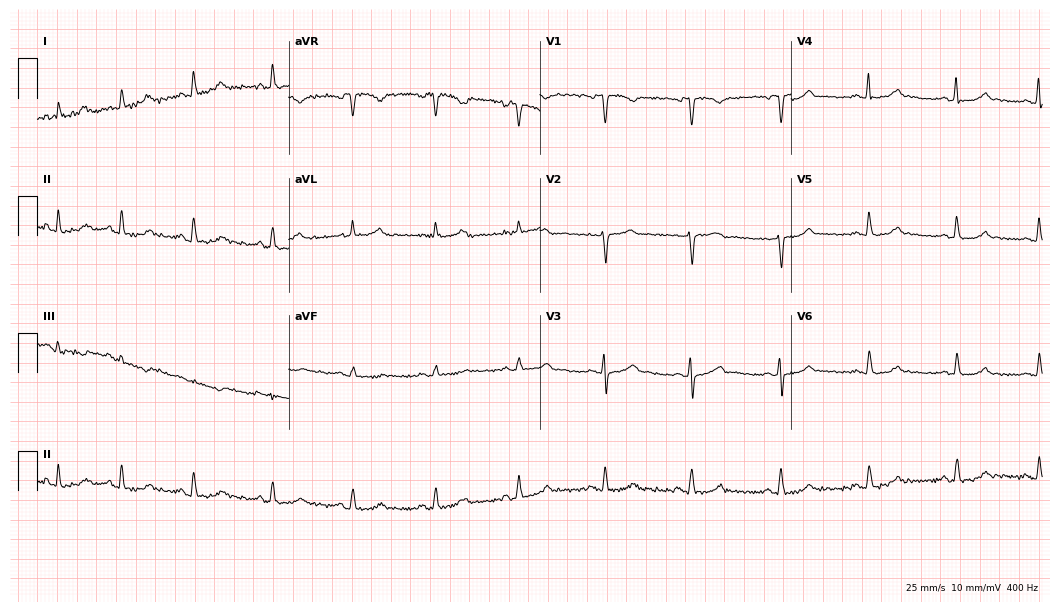
ECG (10.2-second recording at 400 Hz) — a female, 37 years old. Labelled as a normal ECG.